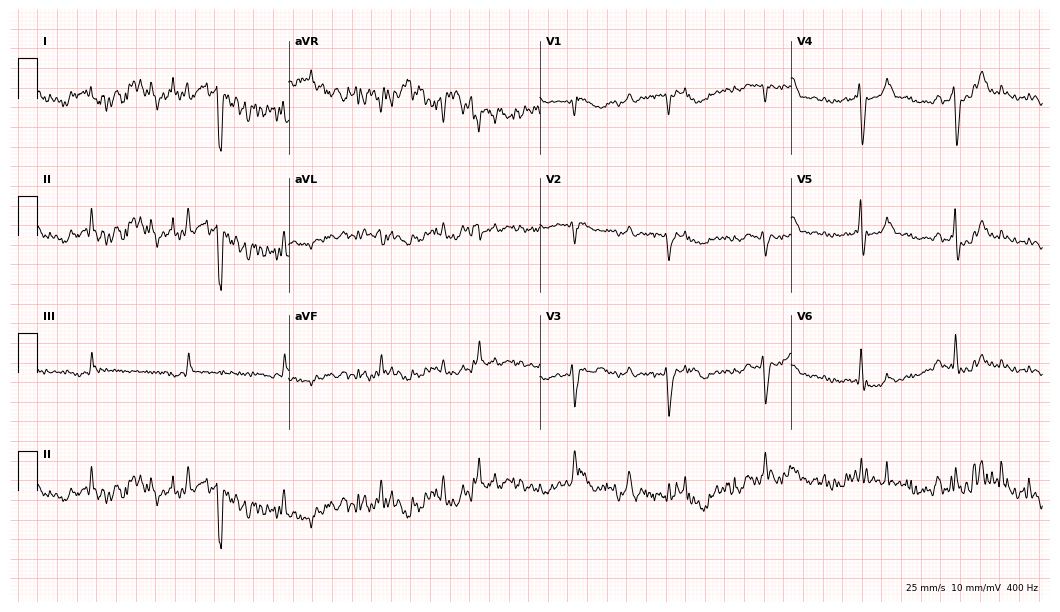
Standard 12-lead ECG recorded from a 71-year-old male (10.2-second recording at 400 Hz). None of these six findings is recorded: first-degree AV block, right bundle branch block, left bundle branch block, sinus bradycardia, atrial fibrillation, sinus tachycardia. Only these six findings were labelled.